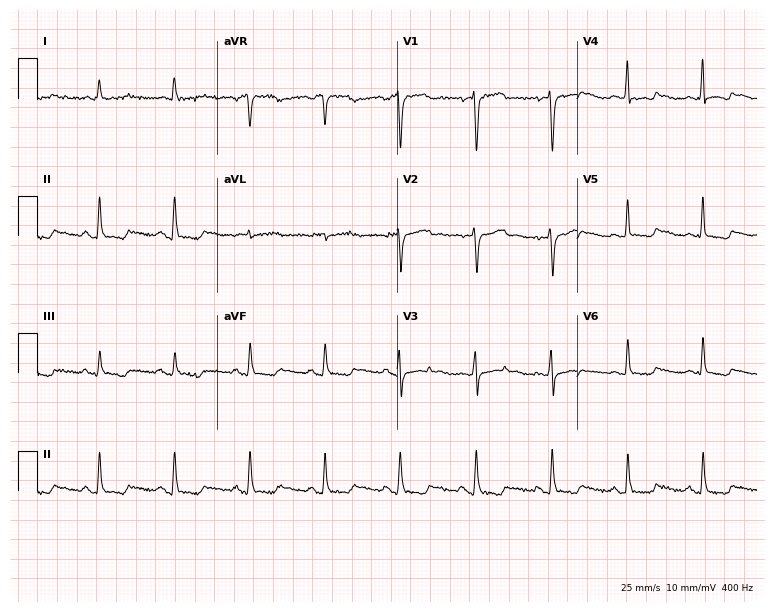
Electrocardiogram, a 73-year-old female patient. Of the six screened findings (first-degree AV block, right bundle branch block, left bundle branch block, sinus bradycardia, atrial fibrillation, sinus tachycardia), none is recorded.